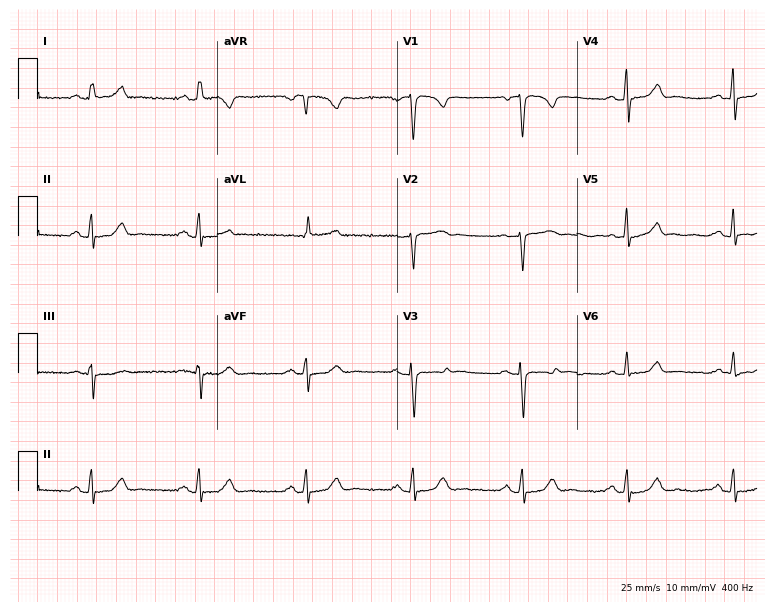
Resting 12-lead electrocardiogram. Patient: a female, 63 years old. Read as a normal ECG.